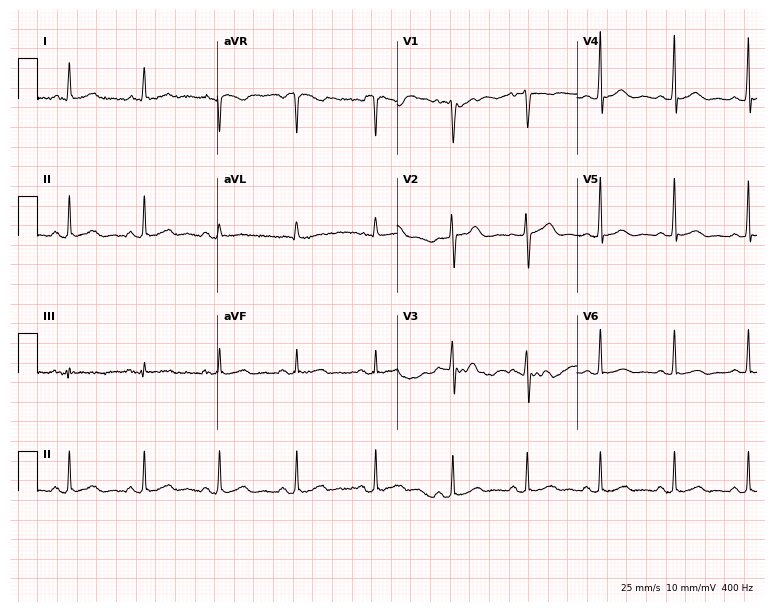
Electrocardiogram (7.3-second recording at 400 Hz), a woman, 46 years old. Of the six screened findings (first-degree AV block, right bundle branch block, left bundle branch block, sinus bradycardia, atrial fibrillation, sinus tachycardia), none is recorded. Only these six findings were labelled.